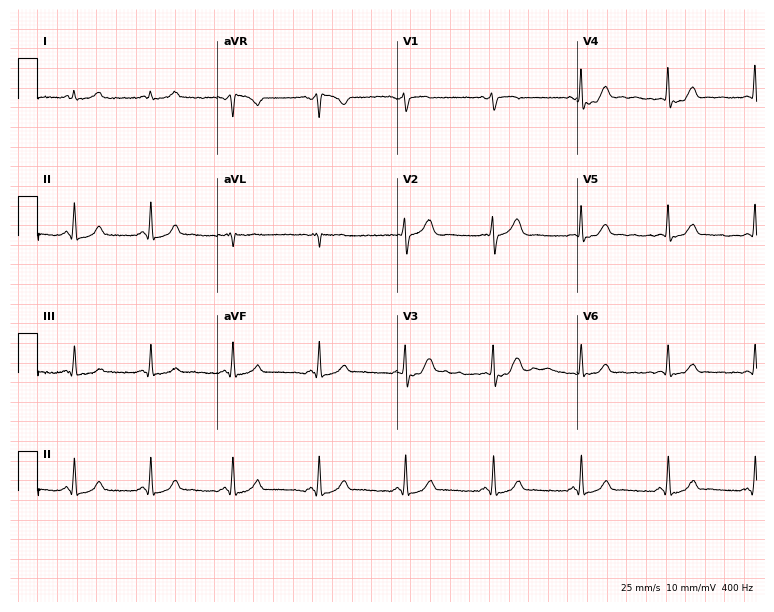
Electrocardiogram, a woman, 26 years old. Of the six screened findings (first-degree AV block, right bundle branch block, left bundle branch block, sinus bradycardia, atrial fibrillation, sinus tachycardia), none is recorded. Other findings, if any, are not listed.